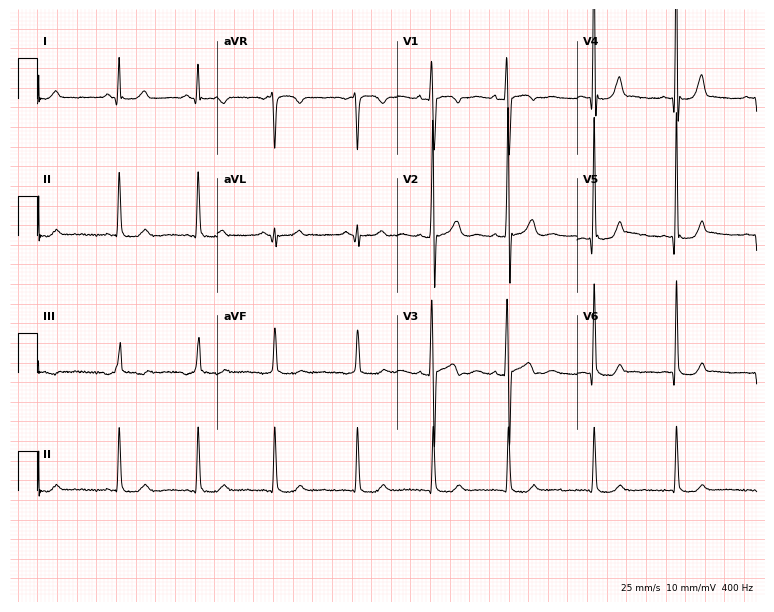
12-lead ECG from a 17-year-old woman (7.3-second recording at 400 Hz). Recorded interpretation: within normal limits.